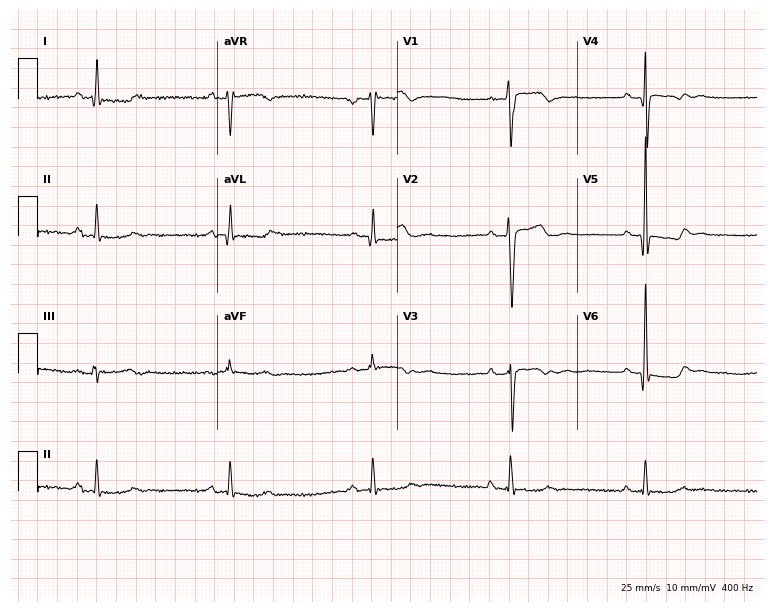
Standard 12-lead ECG recorded from a male, 61 years old. None of these six findings is recorded: first-degree AV block, right bundle branch block, left bundle branch block, sinus bradycardia, atrial fibrillation, sinus tachycardia.